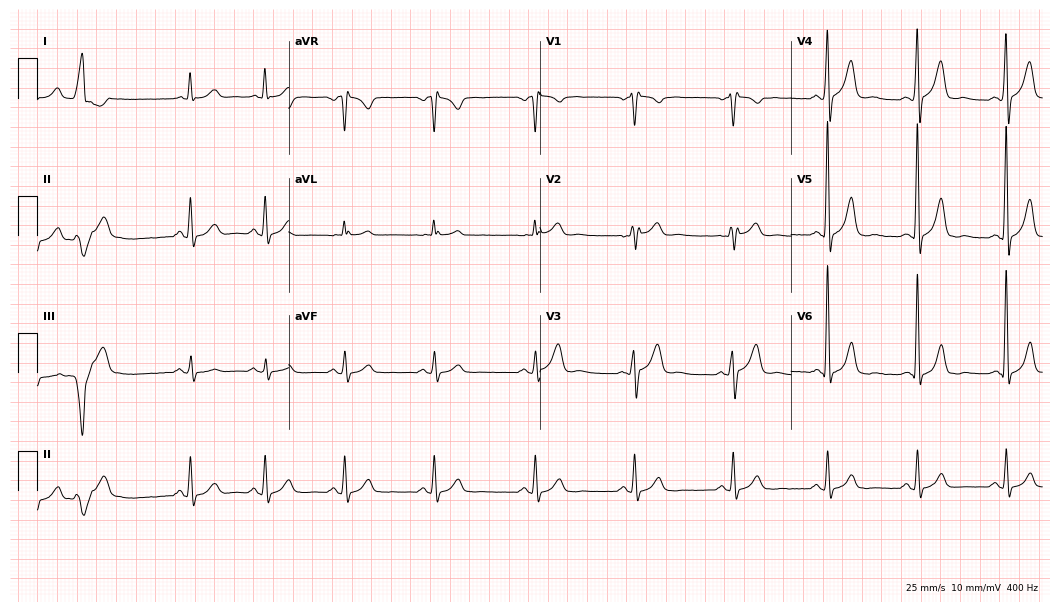
Resting 12-lead electrocardiogram. Patient: a man, 57 years old. None of these six findings is recorded: first-degree AV block, right bundle branch block, left bundle branch block, sinus bradycardia, atrial fibrillation, sinus tachycardia. Only these six findings were labelled.